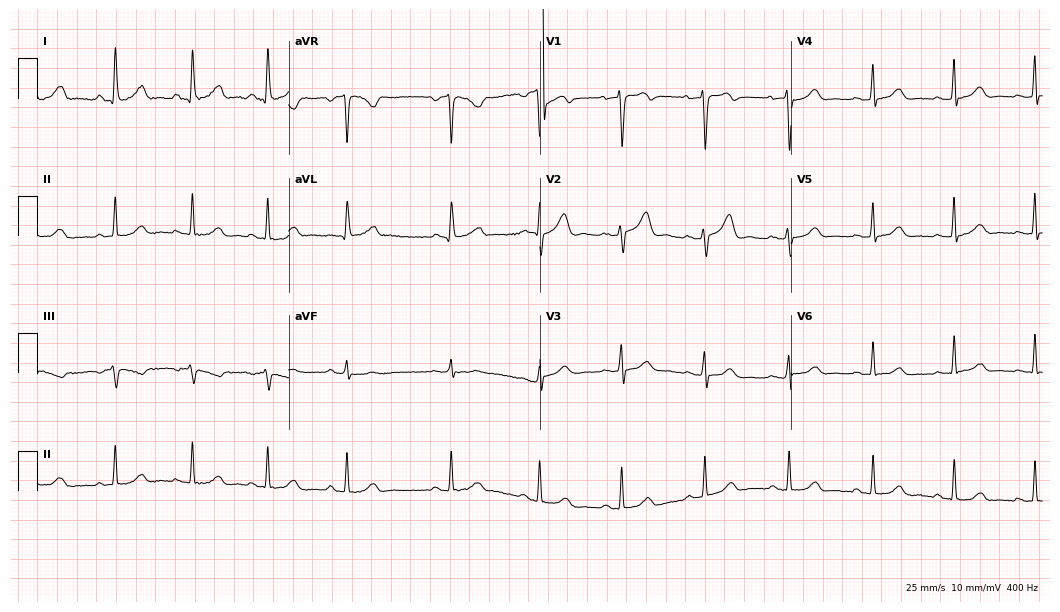
12-lead ECG from a woman, 45 years old (10.2-second recording at 400 Hz). No first-degree AV block, right bundle branch block (RBBB), left bundle branch block (LBBB), sinus bradycardia, atrial fibrillation (AF) or sinus tachycardia recorded for this tracing.